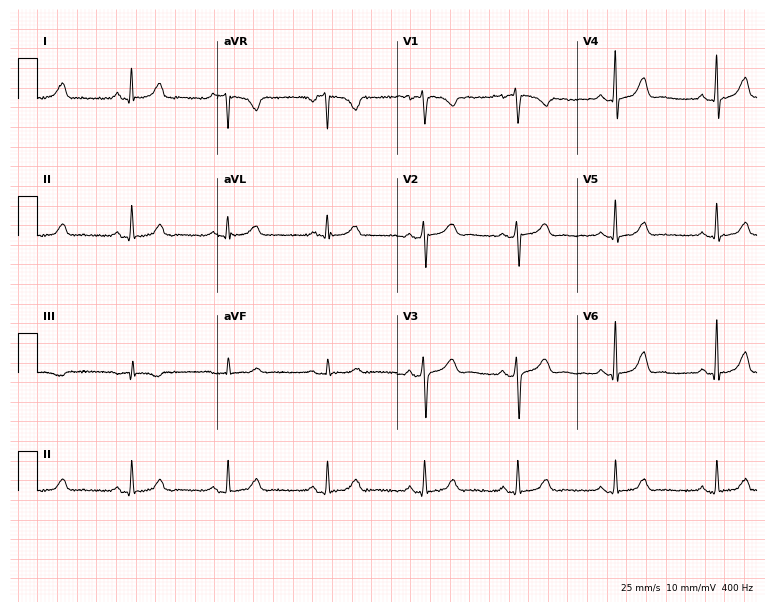
12-lead ECG from a female patient, 31 years old. Labelled as a normal ECG.